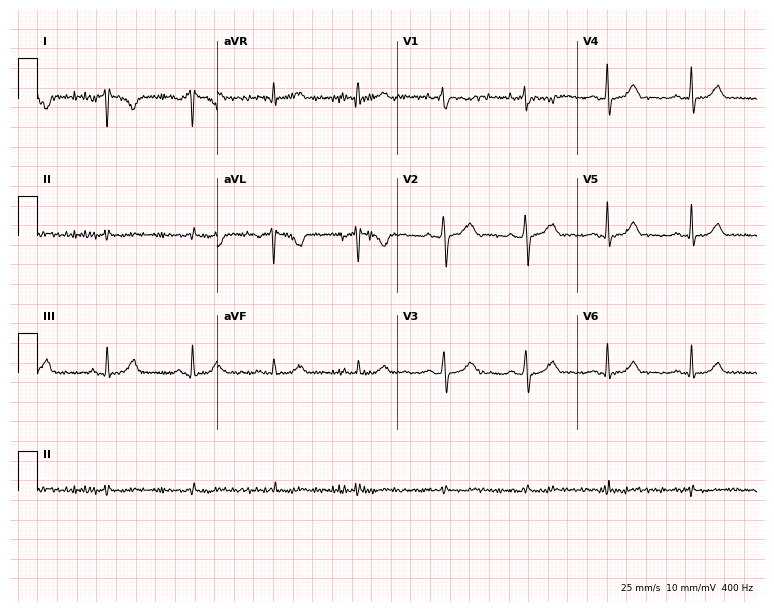
Electrocardiogram (7.3-second recording at 400 Hz), a 37-year-old female patient. Of the six screened findings (first-degree AV block, right bundle branch block, left bundle branch block, sinus bradycardia, atrial fibrillation, sinus tachycardia), none is recorded.